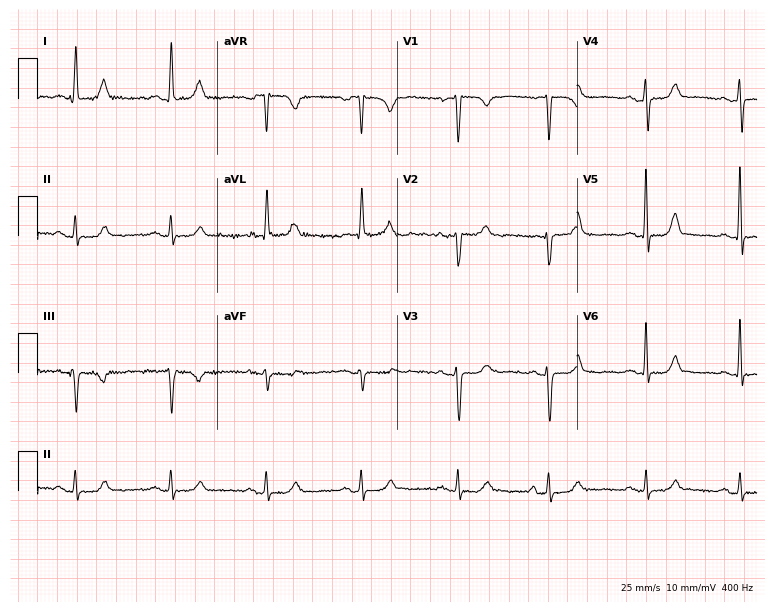
12-lead ECG from a woman, 83 years old. Screened for six findings — first-degree AV block, right bundle branch block, left bundle branch block, sinus bradycardia, atrial fibrillation, sinus tachycardia — none is recorded.